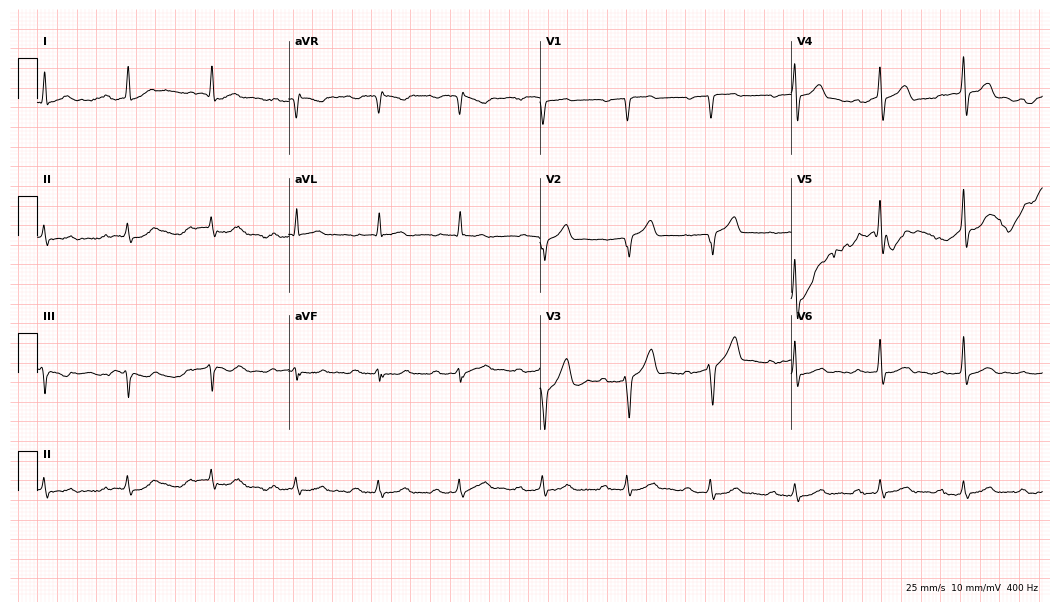
12-lead ECG from a male, 60 years old. Findings include first-degree AV block.